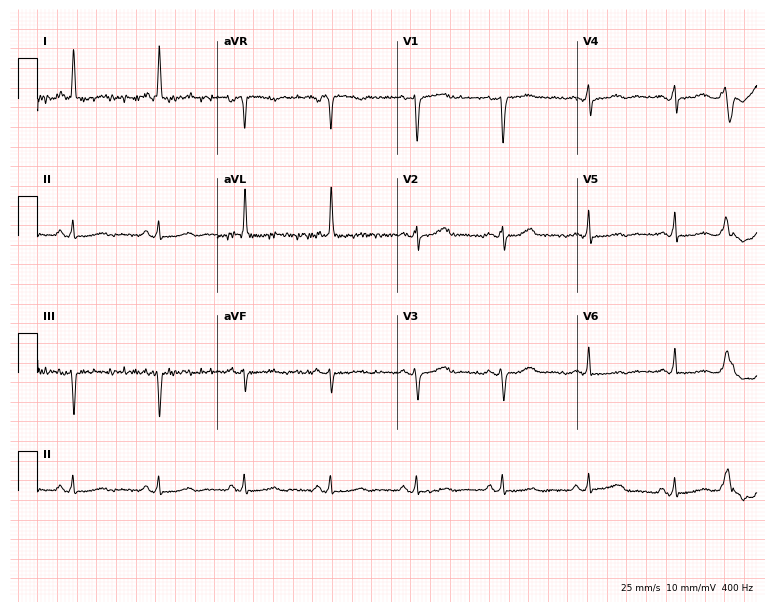
ECG (7.3-second recording at 400 Hz) — an 80-year-old woman. Screened for six findings — first-degree AV block, right bundle branch block (RBBB), left bundle branch block (LBBB), sinus bradycardia, atrial fibrillation (AF), sinus tachycardia — none is recorded. Only these six findings were labelled.